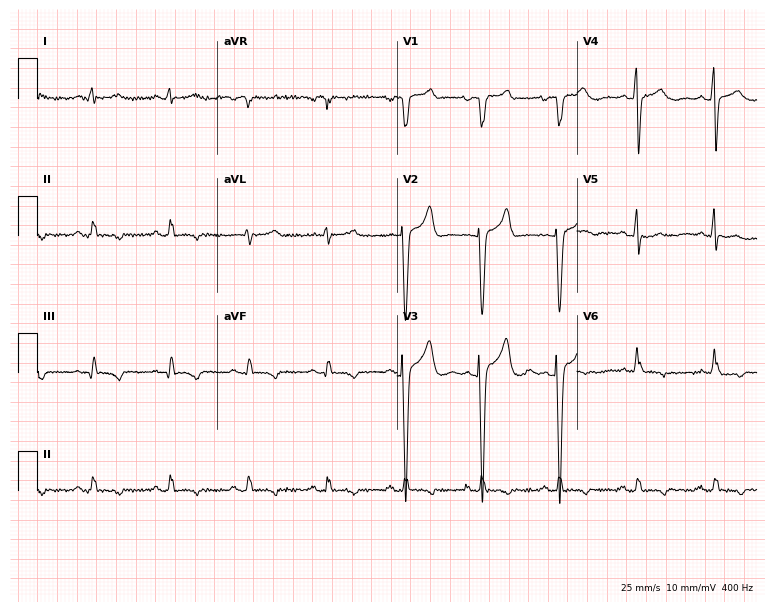
12-lead ECG from a male, 54 years old. No first-degree AV block, right bundle branch block (RBBB), left bundle branch block (LBBB), sinus bradycardia, atrial fibrillation (AF) or sinus tachycardia recorded for this tracing.